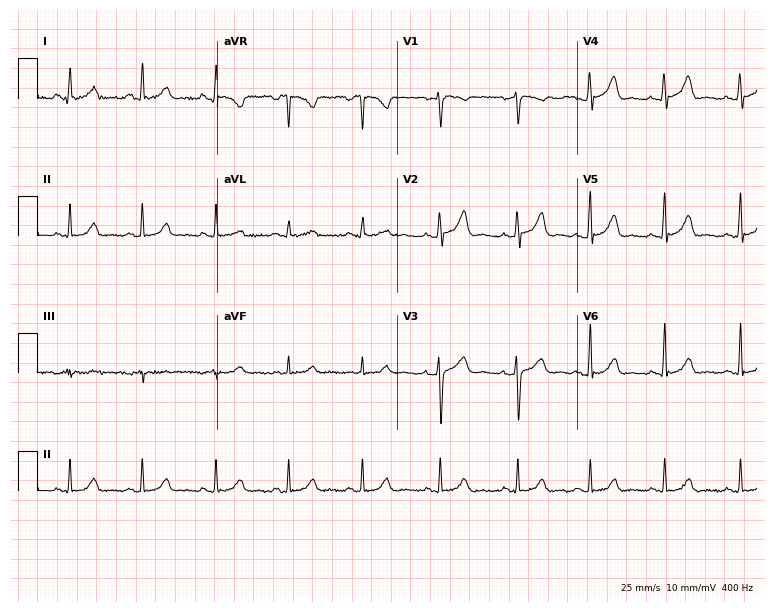
12-lead ECG from a 22-year-old female. Labelled as a normal ECG.